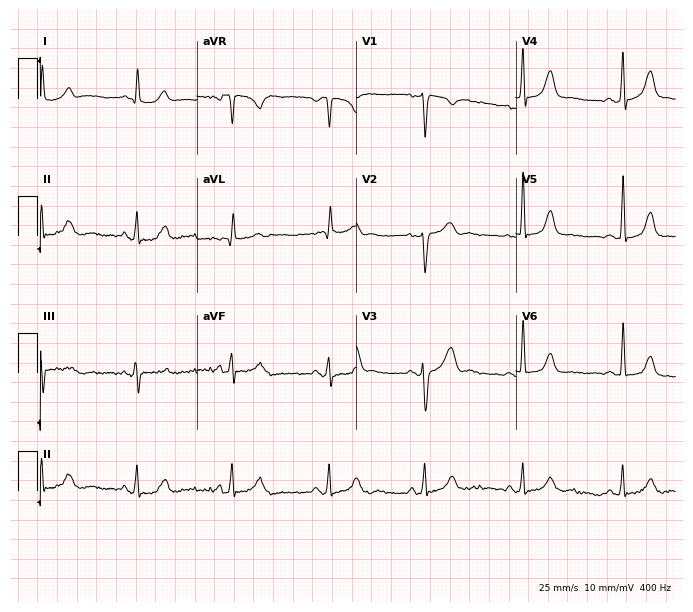
Resting 12-lead electrocardiogram. Patient: a 42-year-old female. None of these six findings is recorded: first-degree AV block, right bundle branch block, left bundle branch block, sinus bradycardia, atrial fibrillation, sinus tachycardia.